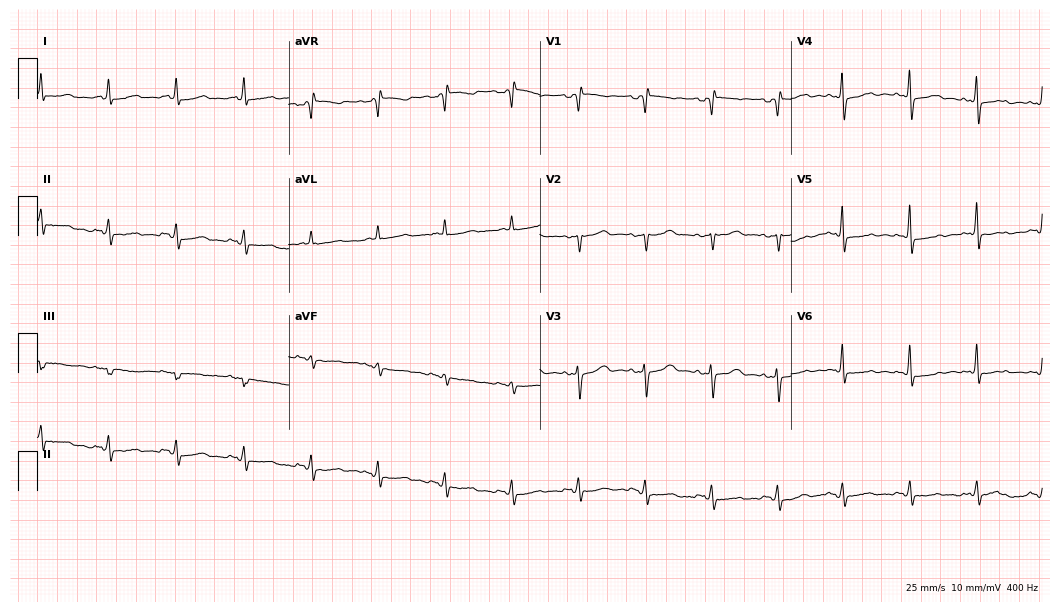
12-lead ECG from a female, 73 years old (10.2-second recording at 400 Hz). No first-degree AV block, right bundle branch block (RBBB), left bundle branch block (LBBB), sinus bradycardia, atrial fibrillation (AF) or sinus tachycardia recorded for this tracing.